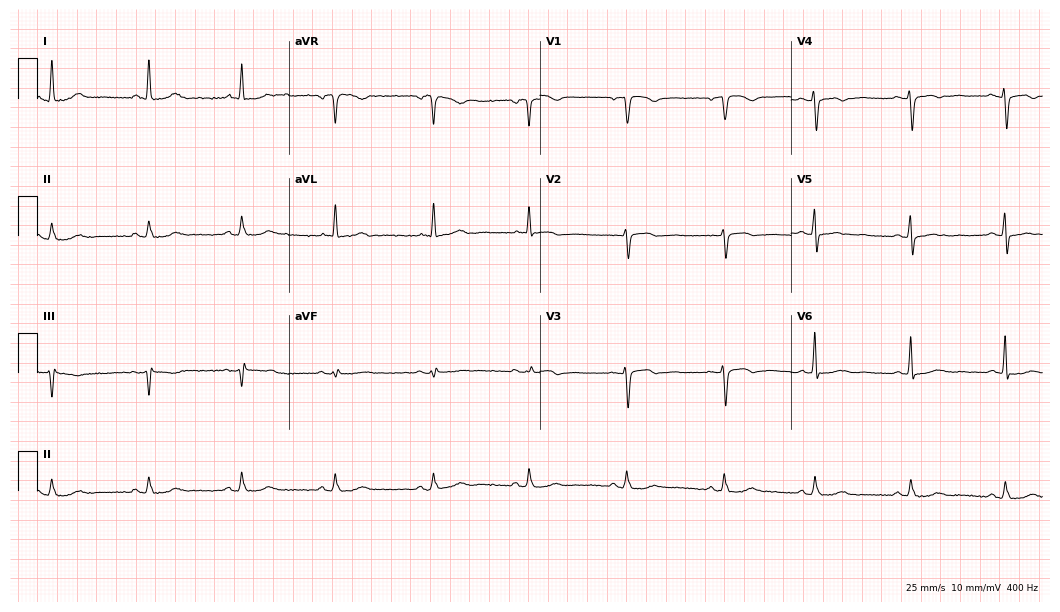
ECG — a female patient, 68 years old. Labelled as a normal ECG.